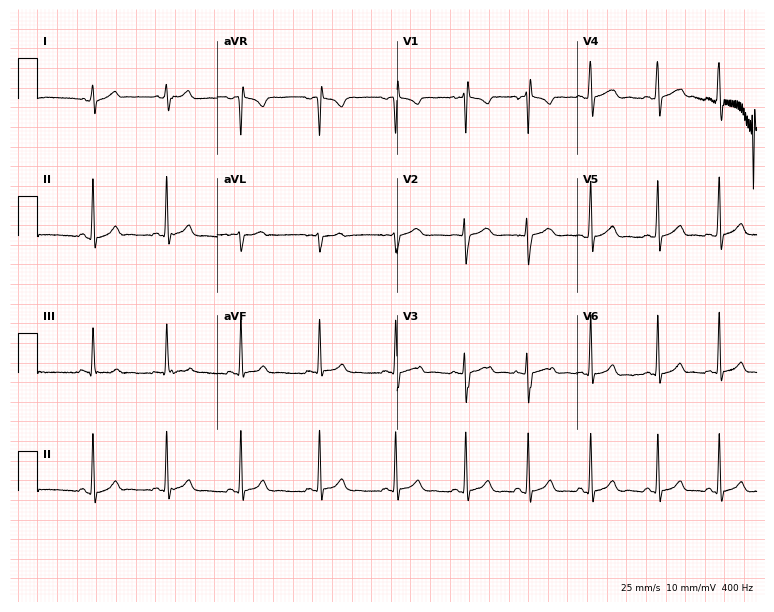
Standard 12-lead ECG recorded from a woman, 17 years old (7.3-second recording at 400 Hz). Read as a normal ECG.